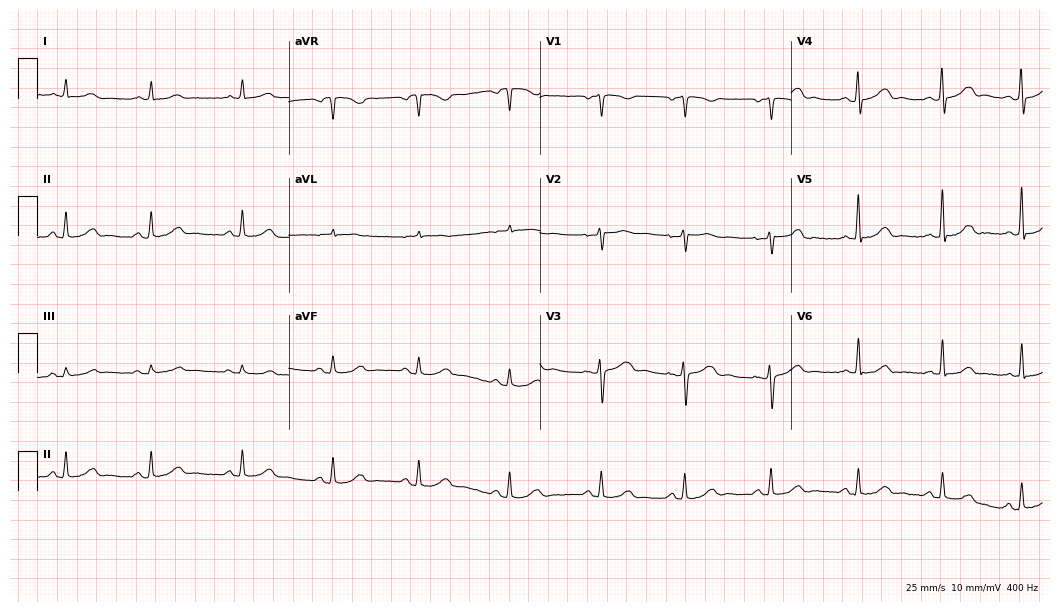
Electrocardiogram (10.2-second recording at 400 Hz), a female patient, 40 years old. Overall reading on record: normal ECG.